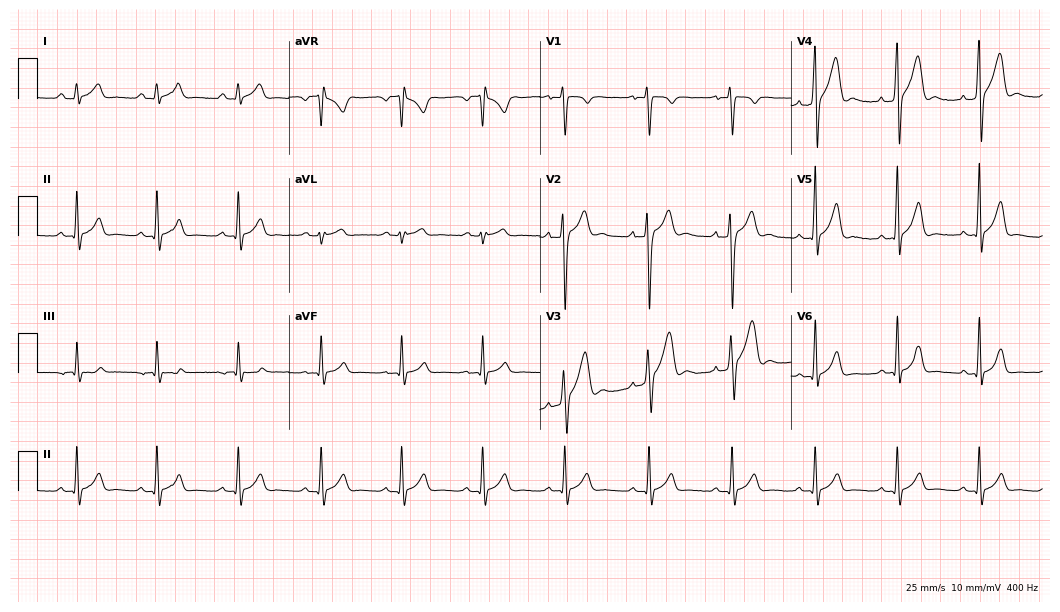
12-lead ECG from a 20-year-old male patient. Recorded interpretation: within normal limits.